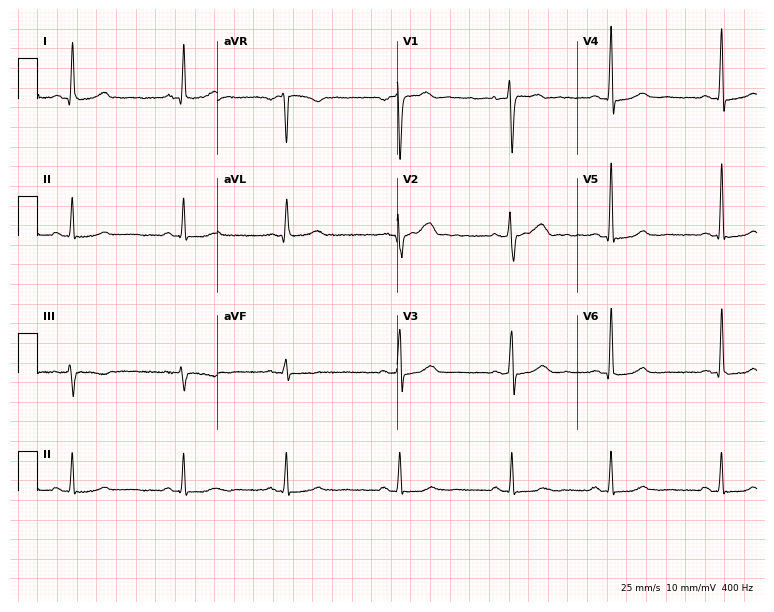
12-lead ECG (7.3-second recording at 400 Hz) from a female, 51 years old. Screened for six findings — first-degree AV block, right bundle branch block, left bundle branch block, sinus bradycardia, atrial fibrillation, sinus tachycardia — none is recorded. Other findings, if any, are not listed.